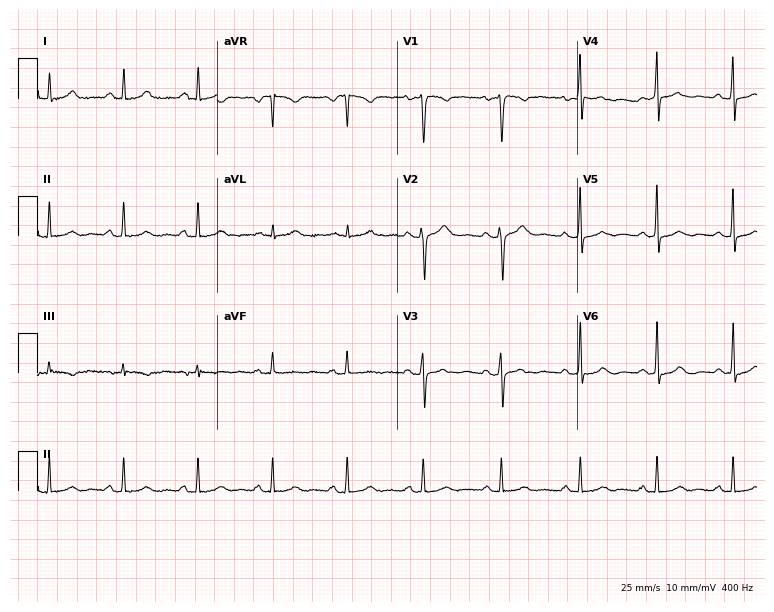
12-lead ECG from a 46-year-old woman. Labelled as a normal ECG.